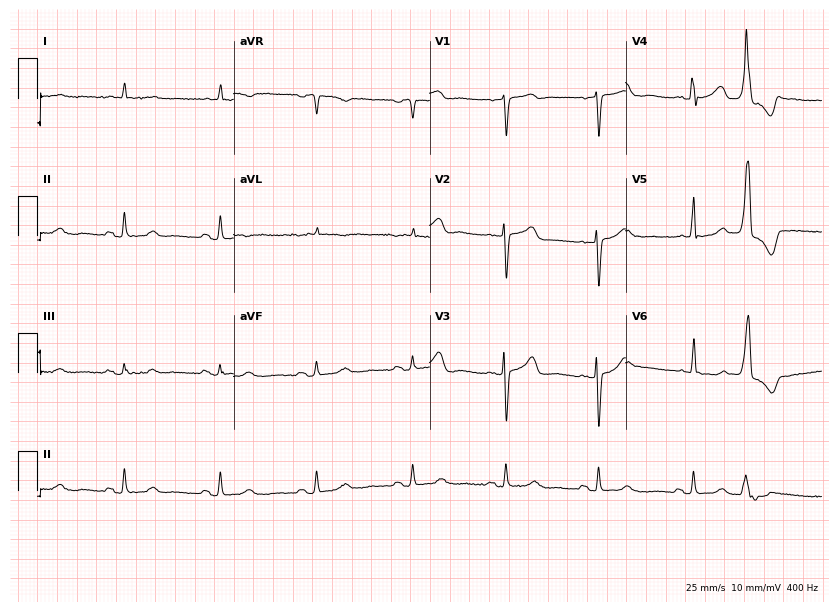
12-lead ECG (8-second recording at 400 Hz) from a 76-year-old male. Screened for six findings — first-degree AV block, right bundle branch block, left bundle branch block, sinus bradycardia, atrial fibrillation, sinus tachycardia — none is recorded.